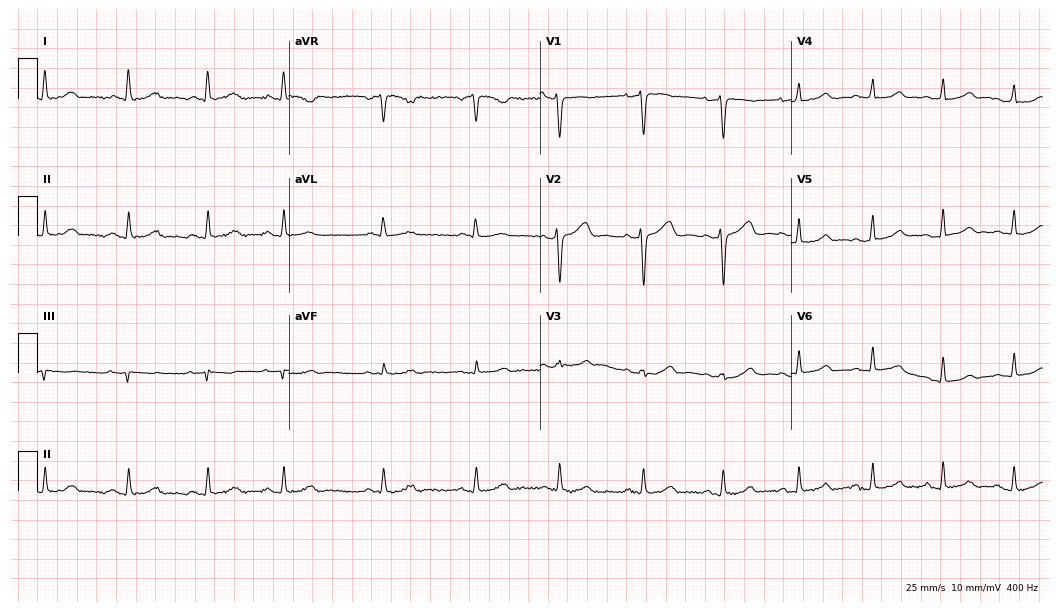
Standard 12-lead ECG recorded from a 45-year-old female patient (10.2-second recording at 400 Hz). Read as a normal ECG.